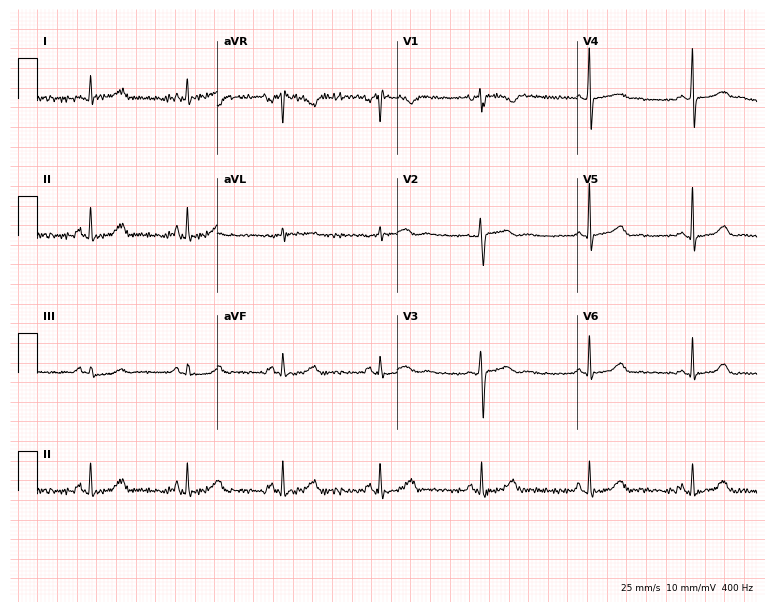
Electrocardiogram, a female patient, 39 years old. Overall reading on record: normal ECG.